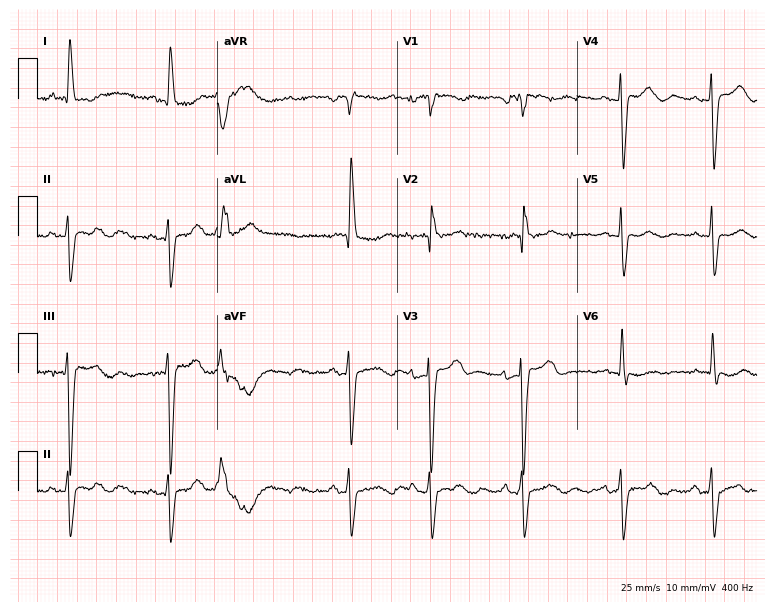
12-lead ECG from a female, 85 years old. No first-degree AV block, right bundle branch block, left bundle branch block, sinus bradycardia, atrial fibrillation or sinus tachycardia recorded for this tracing.